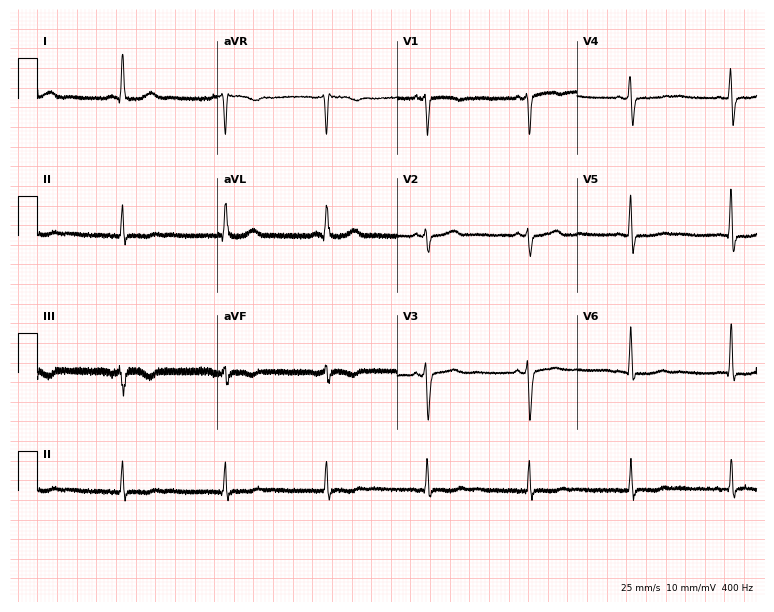
ECG — a 57-year-old female. Screened for six findings — first-degree AV block, right bundle branch block, left bundle branch block, sinus bradycardia, atrial fibrillation, sinus tachycardia — none is recorded. Findings outside these six are not listed.